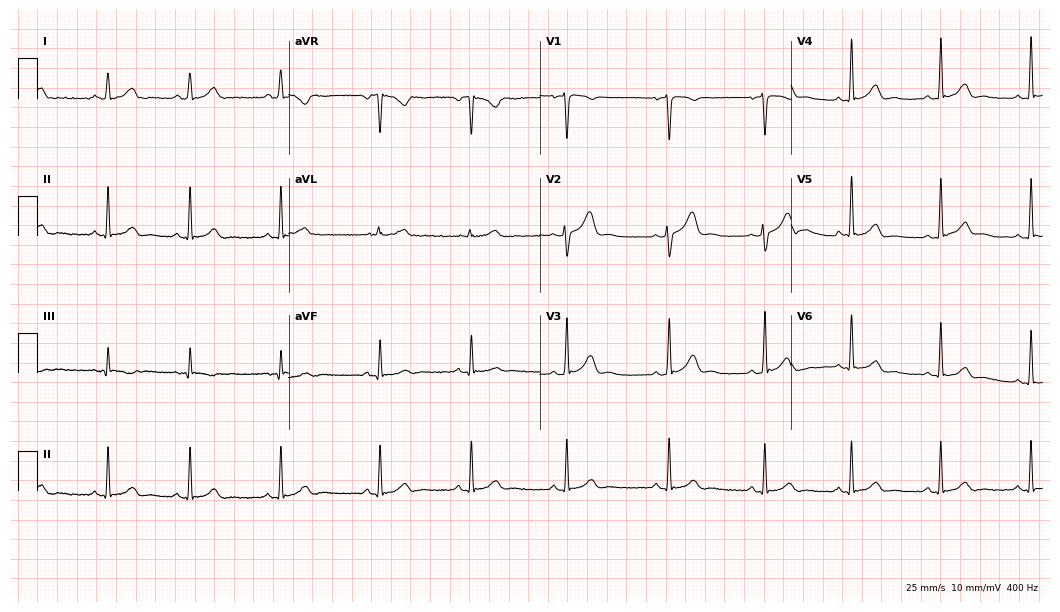
12-lead ECG from a female, 31 years old. Recorded interpretation: within normal limits.